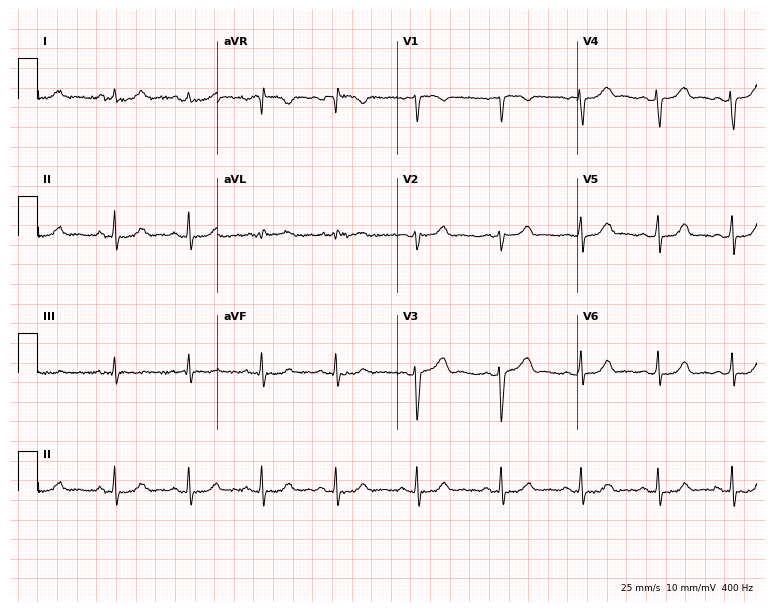
Electrocardiogram, a female, 21 years old. Overall reading on record: normal ECG.